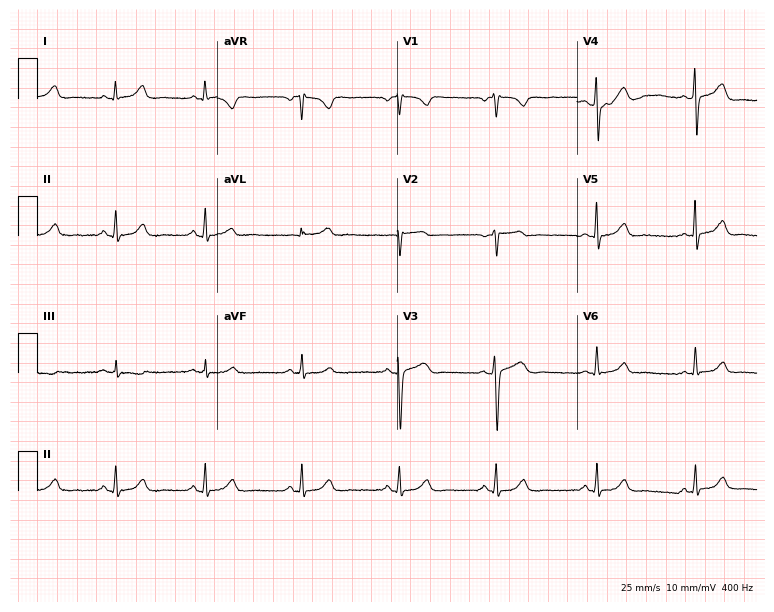
12-lead ECG from a 47-year-old female patient. Labelled as a normal ECG.